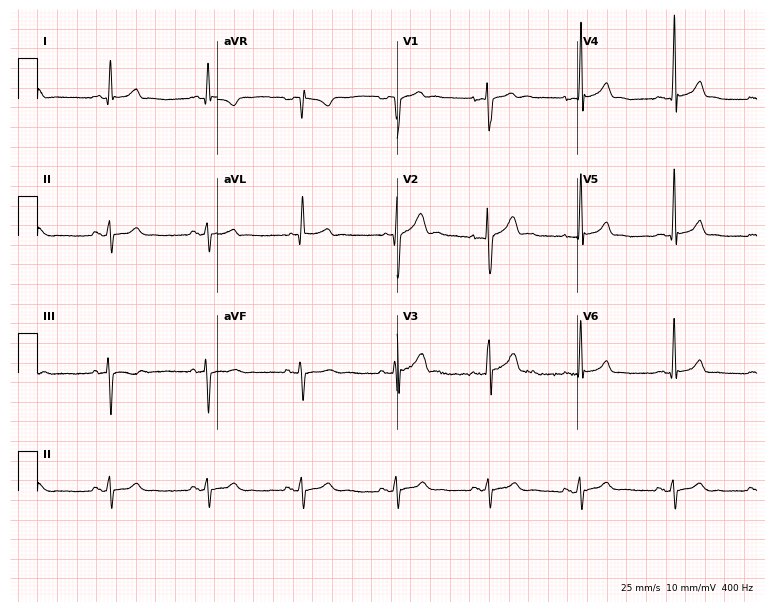
Resting 12-lead electrocardiogram. Patient: a male, 18 years old. None of these six findings is recorded: first-degree AV block, right bundle branch block, left bundle branch block, sinus bradycardia, atrial fibrillation, sinus tachycardia.